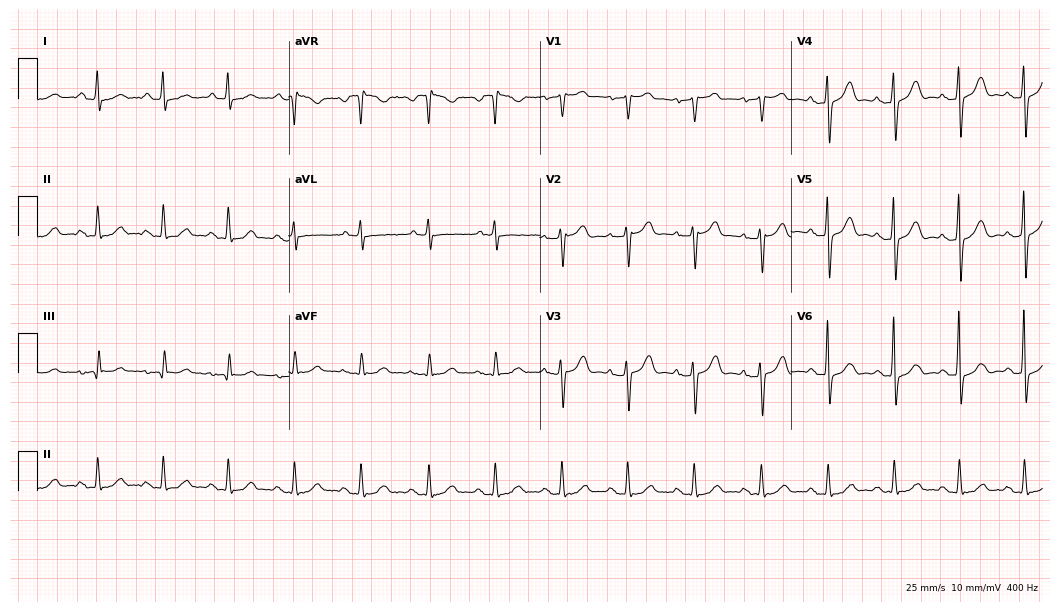
Standard 12-lead ECG recorded from a woman, 66 years old (10.2-second recording at 400 Hz). Read as a normal ECG.